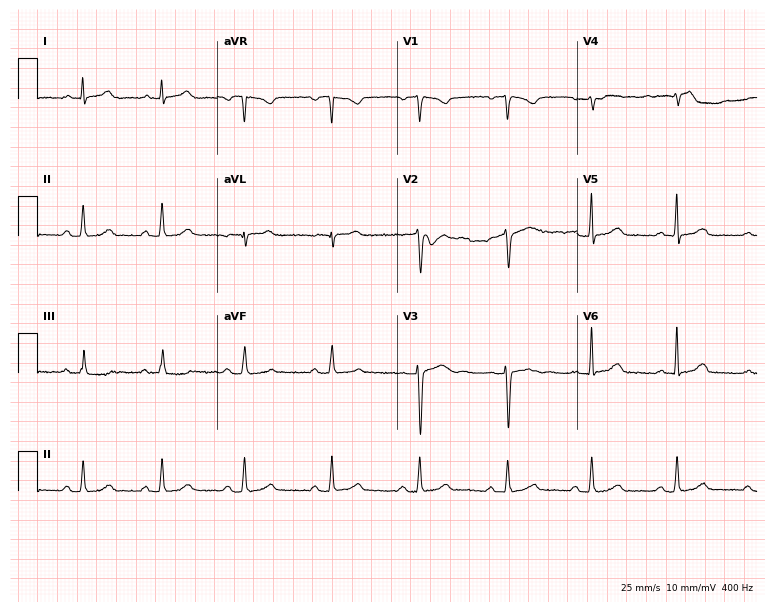
Resting 12-lead electrocardiogram (7.3-second recording at 400 Hz). Patient: a woman, 34 years old. None of these six findings is recorded: first-degree AV block, right bundle branch block, left bundle branch block, sinus bradycardia, atrial fibrillation, sinus tachycardia.